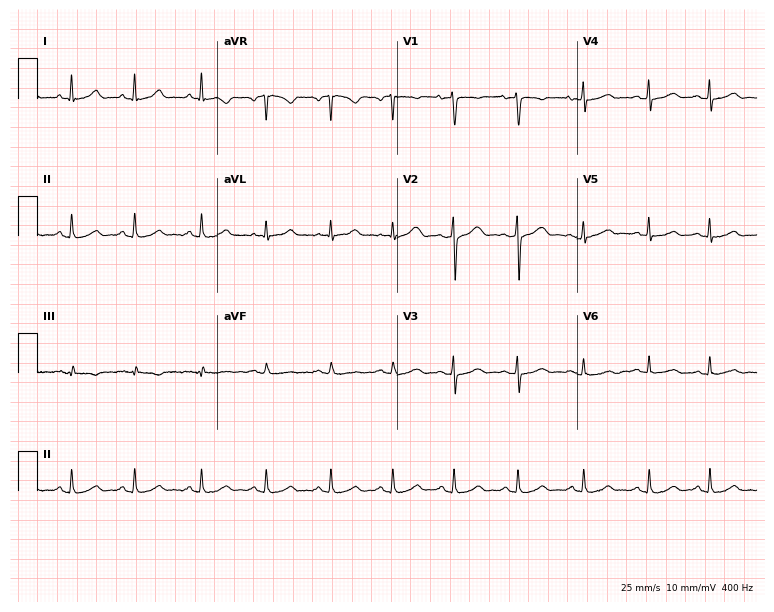
ECG (7.3-second recording at 400 Hz) — a 38-year-old female. Labelled as a normal ECG.